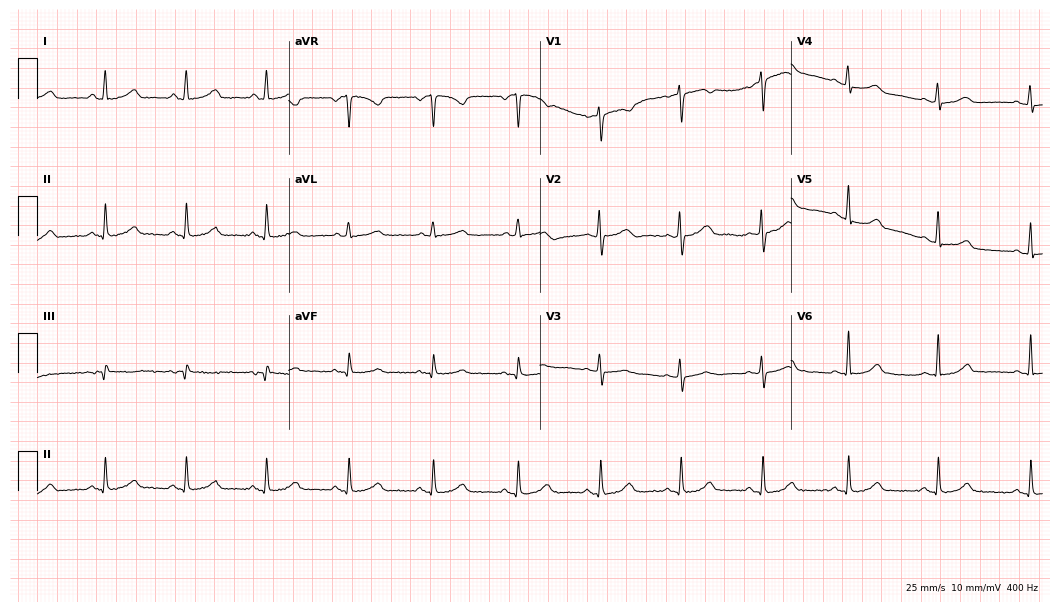
Standard 12-lead ECG recorded from a female patient, 52 years old (10.2-second recording at 400 Hz). Read as a normal ECG.